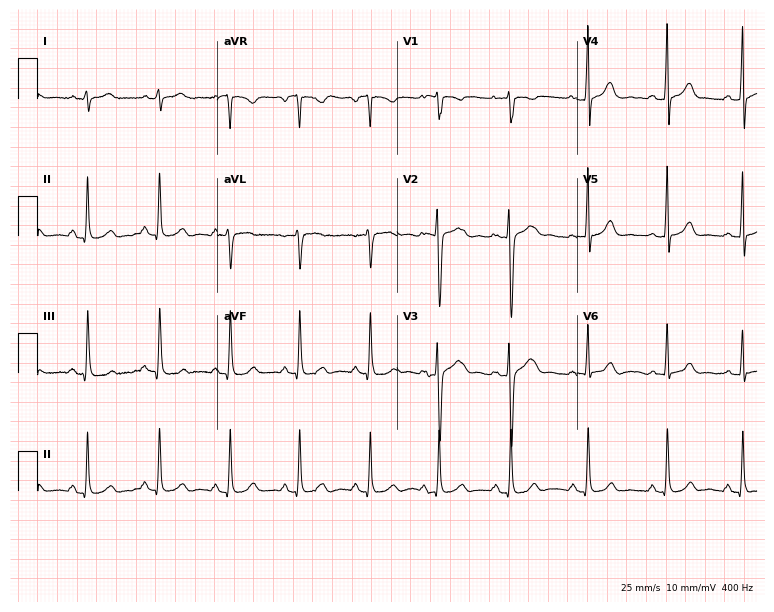
Electrocardiogram, a female, 27 years old. Of the six screened findings (first-degree AV block, right bundle branch block (RBBB), left bundle branch block (LBBB), sinus bradycardia, atrial fibrillation (AF), sinus tachycardia), none is recorded. Findings outside these six are not listed.